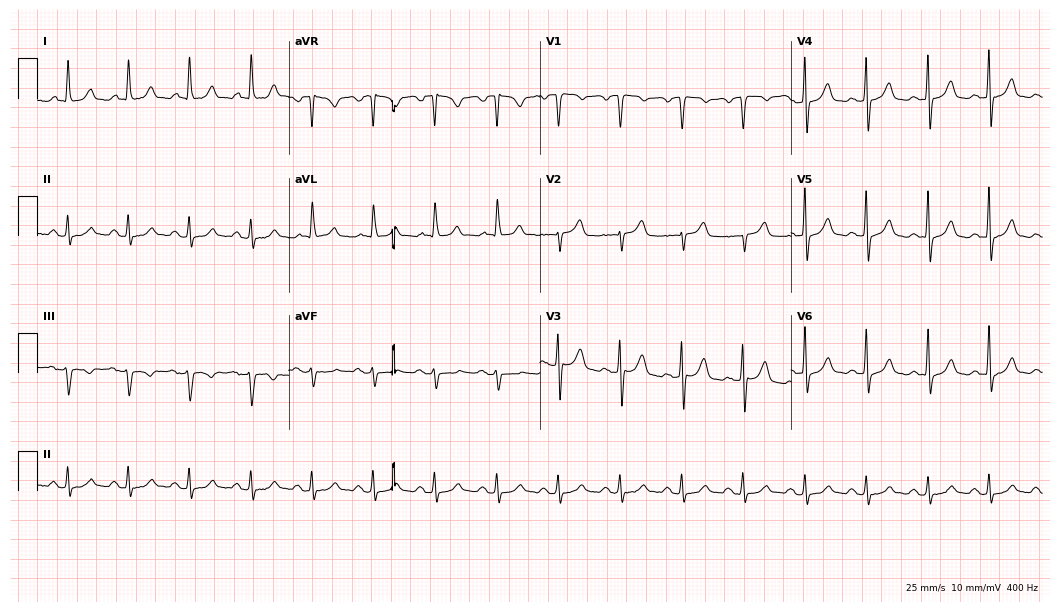
ECG — a 63-year-old male patient. Screened for six findings — first-degree AV block, right bundle branch block, left bundle branch block, sinus bradycardia, atrial fibrillation, sinus tachycardia — none is recorded. Findings outside these six are not listed.